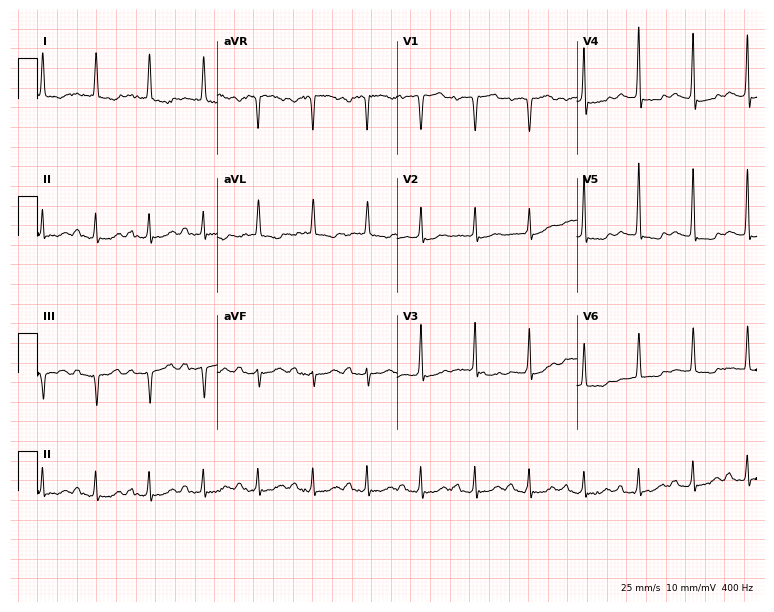
12-lead ECG from a female patient, 83 years old (7.3-second recording at 400 Hz). No first-degree AV block, right bundle branch block, left bundle branch block, sinus bradycardia, atrial fibrillation or sinus tachycardia recorded for this tracing. Other findings, if any, are not listed.